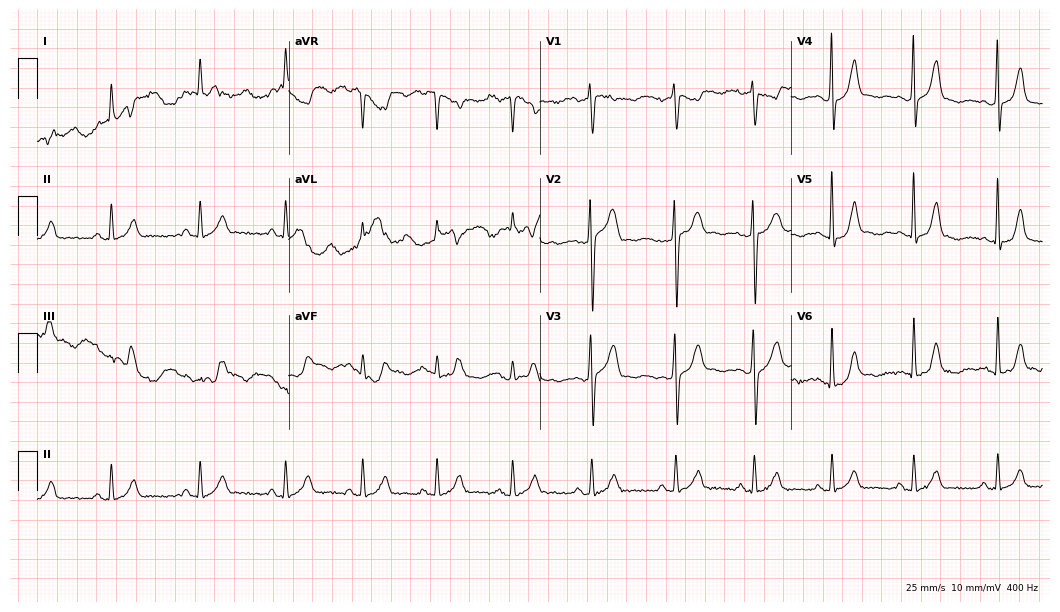
12-lead ECG from a 36-year-old male patient (10.2-second recording at 400 Hz). Recorded interpretation: within normal limits.